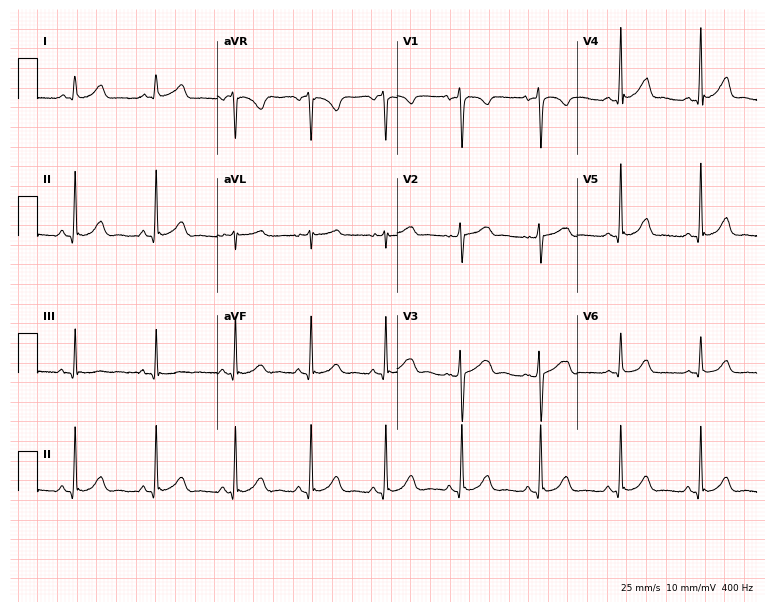
Electrocardiogram, a woman, 29 years old. Of the six screened findings (first-degree AV block, right bundle branch block, left bundle branch block, sinus bradycardia, atrial fibrillation, sinus tachycardia), none is recorded.